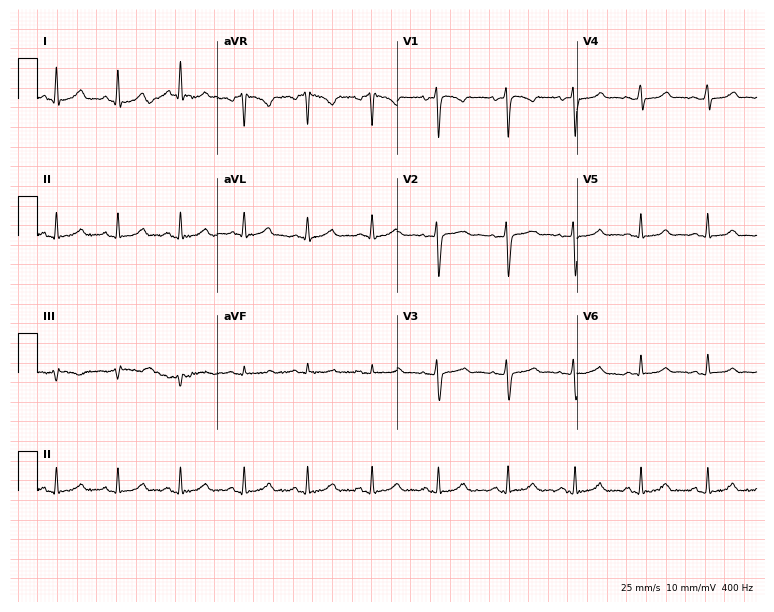
Electrocardiogram (7.3-second recording at 400 Hz), a female patient, 37 years old. Overall reading on record: normal ECG.